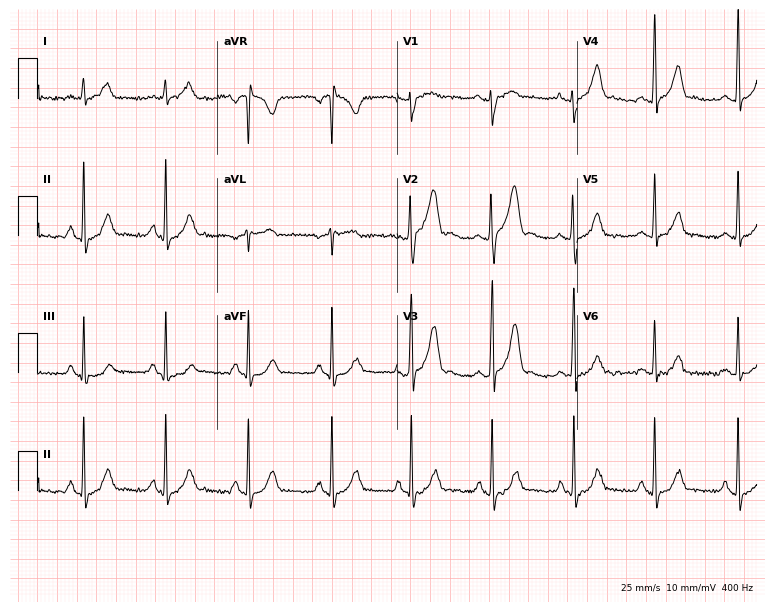
Electrocardiogram, a 32-year-old male patient. Of the six screened findings (first-degree AV block, right bundle branch block (RBBB), left bundle branch block (LBBB), sinus bradycardia, atrial fibrillation (AF), sinus tachycardia), none is recorded. Only these six findings were labelled.